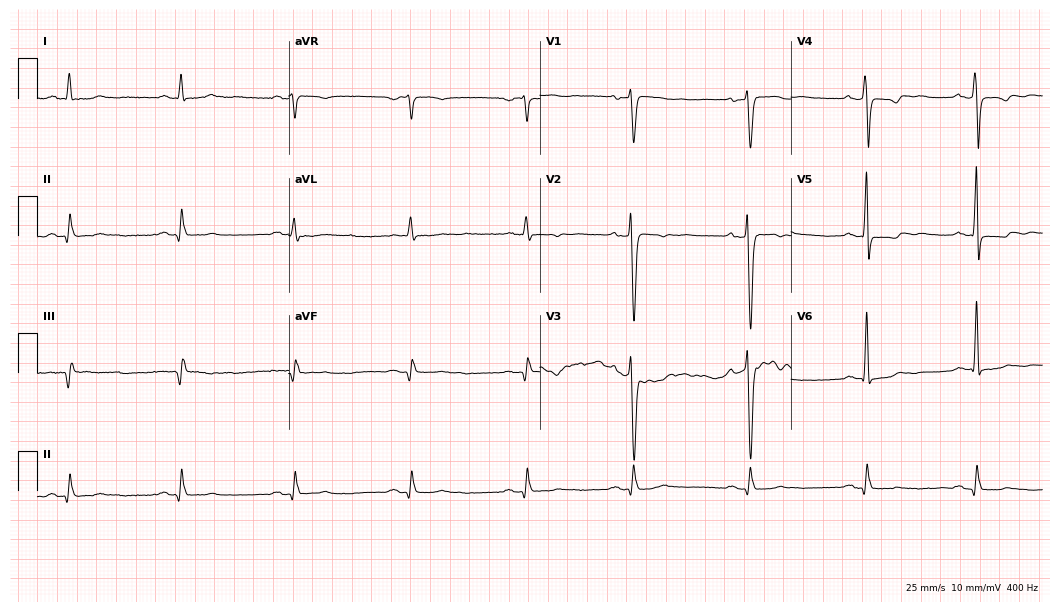
12-lead ECG from a 68-year-old male. Screened for six findings — first-degree AV block, right bundle branch block, left bundle branch block, sinus bradycardia, atrial fibrillation, sinus tachycardia — none is recorded. Other findings, if any, are not listed.